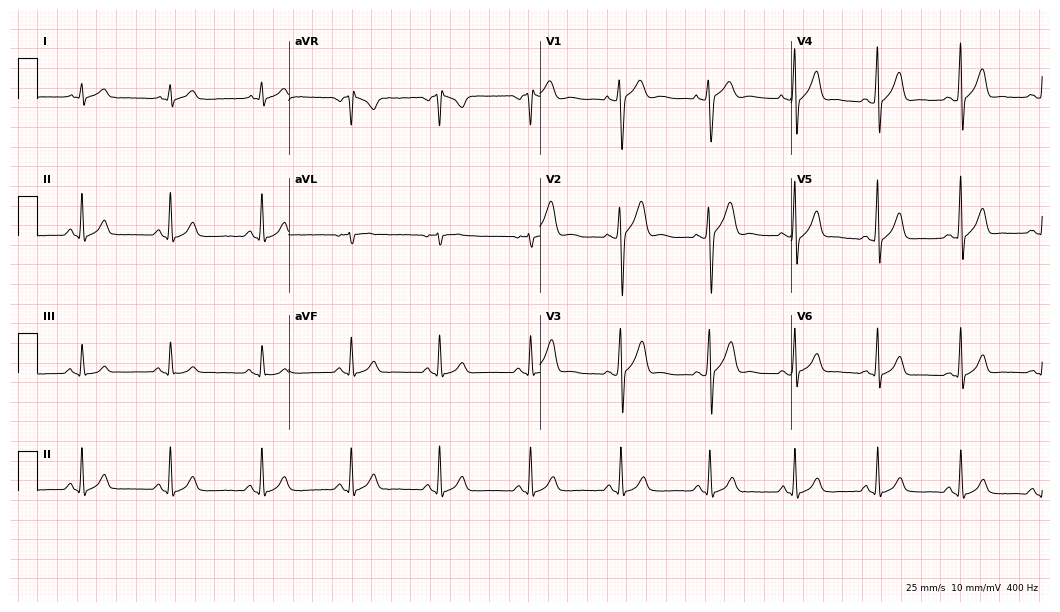
12-lead ECG from a man, 19 years old. Recorded interpretation: within normal limits.